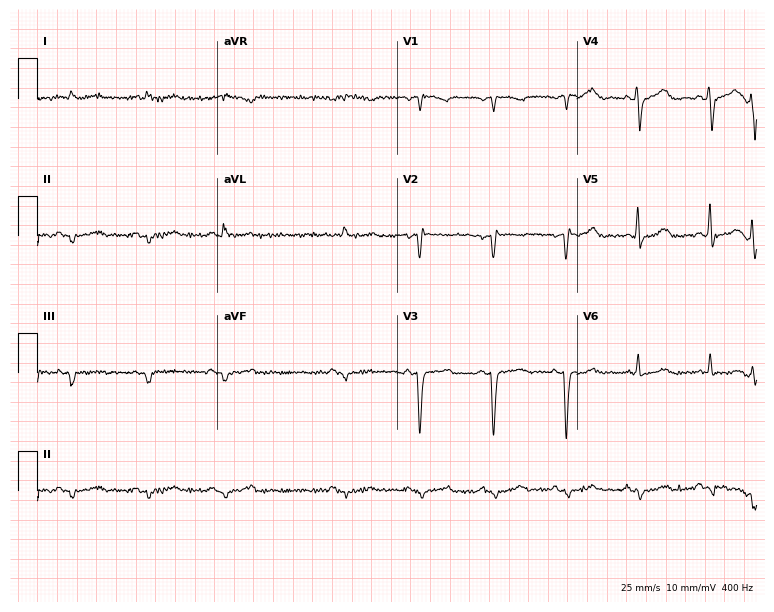
Standard 12-lead ECG recorded from a 69-year-old male. None of these six findings is recorded: first-degree AV block, right bundle branch block, left bundle branch block, sinus bradycardia, atrial fibrillation, sinus tachycardia.